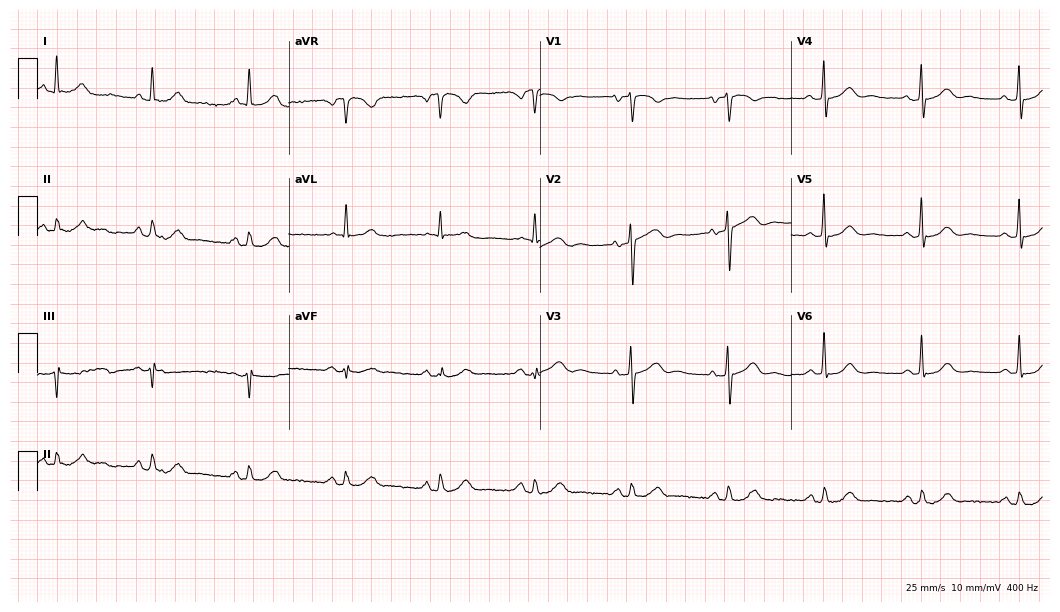
12-lead ECG from a woman, 84 years old. Recorded interpretation: within normal limits.